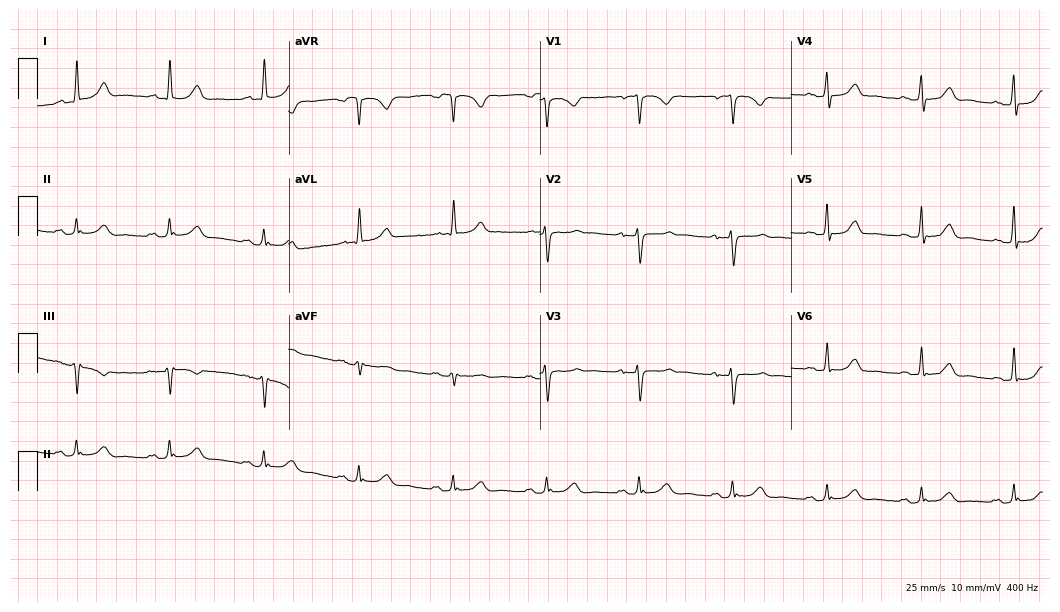
12-lead ECG from a 64-year-old female patient. Recorded interpretation: within normal limits.